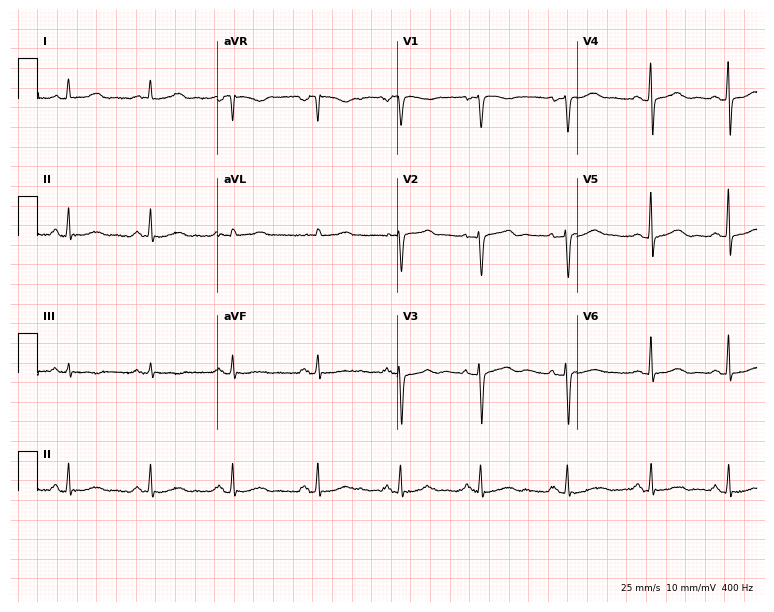
12-lead ECG from a 41-year-old female patient. Recorded interpretation: within normal limits.